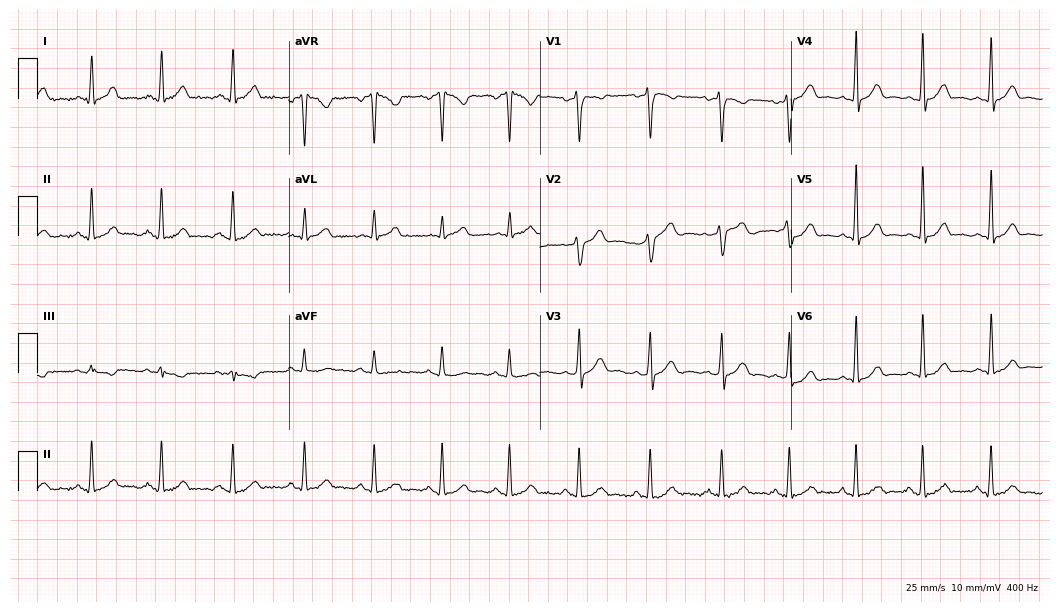
Electrocardiogram (10.2-second recording at 400 Hz), a 45-year-old woman. Overall reading on record: normal ECG.